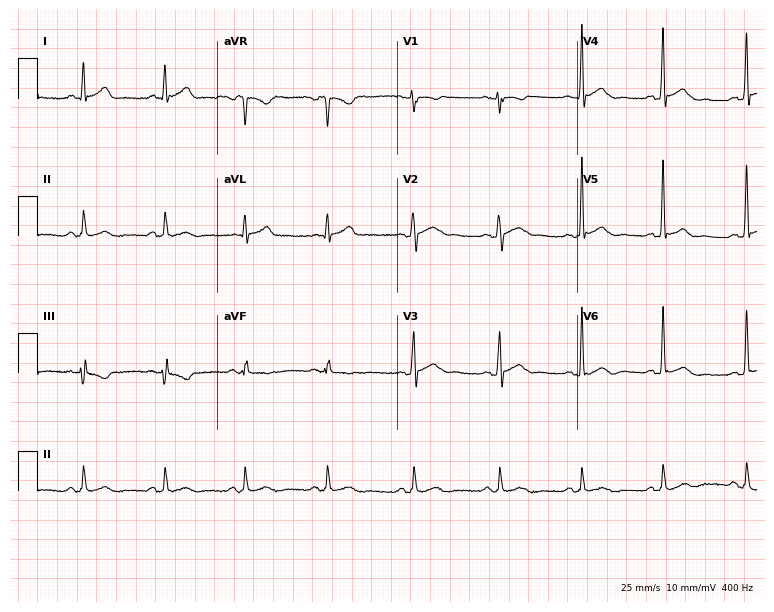
Resting 12-lead electrocardiogram. Patient: a 37-year-old man. Read as a normal ECG.